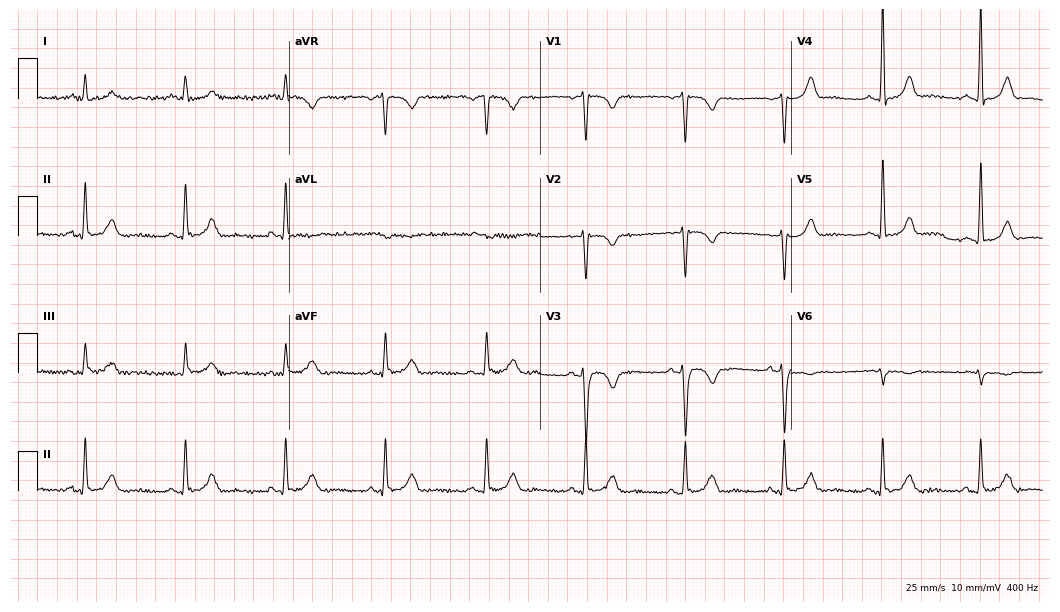
Resting 12-lead electrocardiogram. Patient: a male, 65 years old. None of these six findings is recorded: first-degree AV block, right bundle branch block, left bundle branch block, sinus bradycardia, atrial fibrillation, sinus tachycardia.